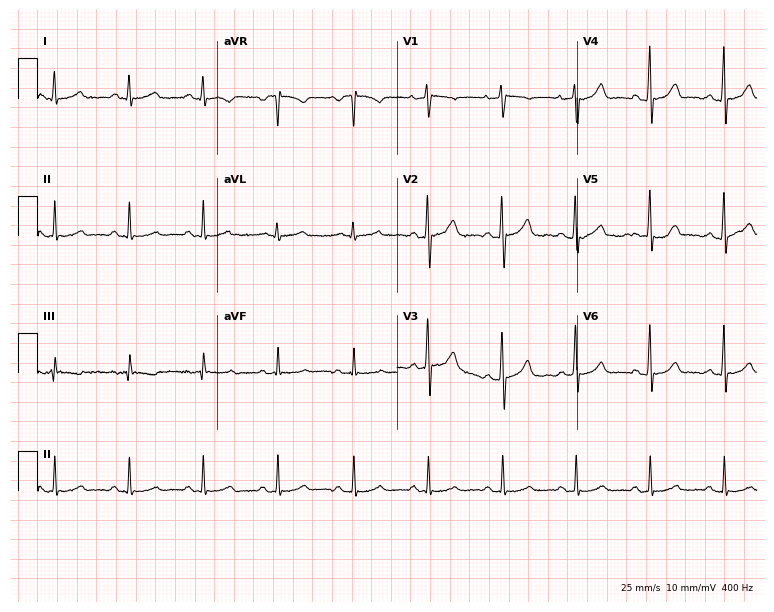
Standard 12-lead ECG recorded from a male patient, 48 years old. None of these six findings is recorded: first-degree AV block, right bundle branch block, left bundle branch block, sinus bradycardia, atrial fibrillation, sinus tachycardia.